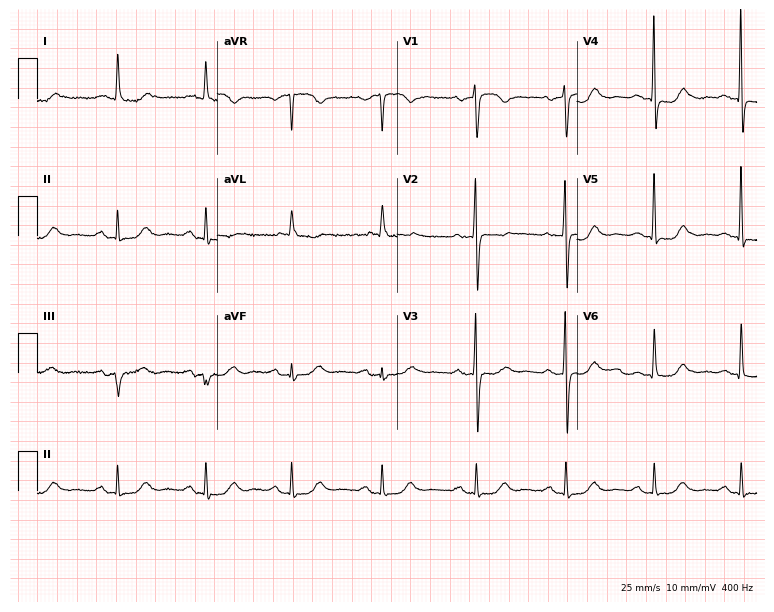
12-lead ECG from a 69-year-old woman. No first-degree AV block, right bundle branch block (RBBB), left bundle branch block (LBBB), sinus bradycardia, atrial fibrillation (AF) or sinus tachycardia recorded for this tracing. Only these six findings were labelled.